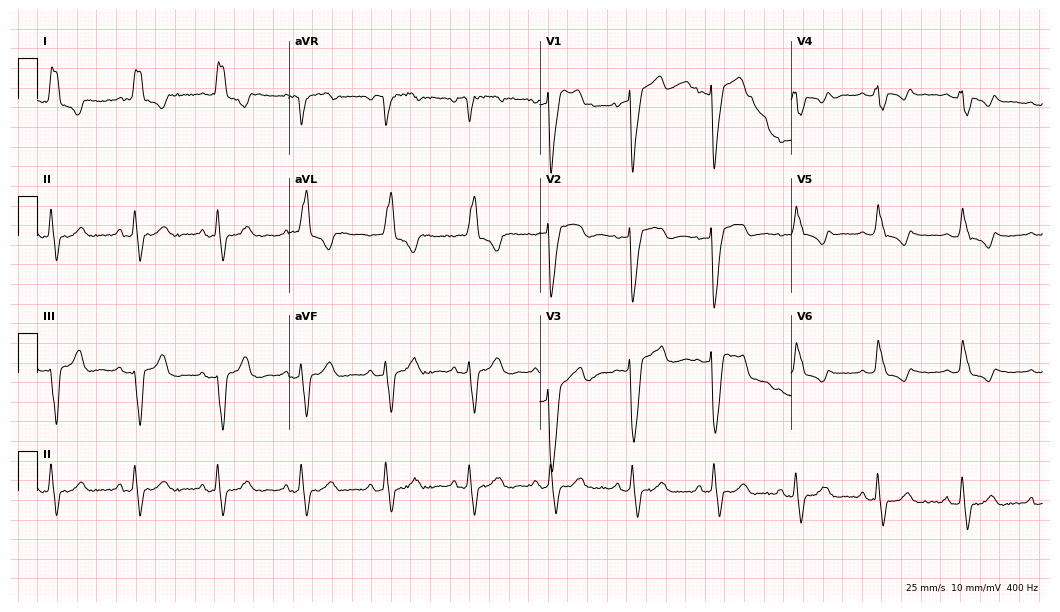
Resting 12-lead electrocardiogram (10.2-second recording at 400 Hz). Patient: an 83-year-old female. The tracing shows left bundle branch block.